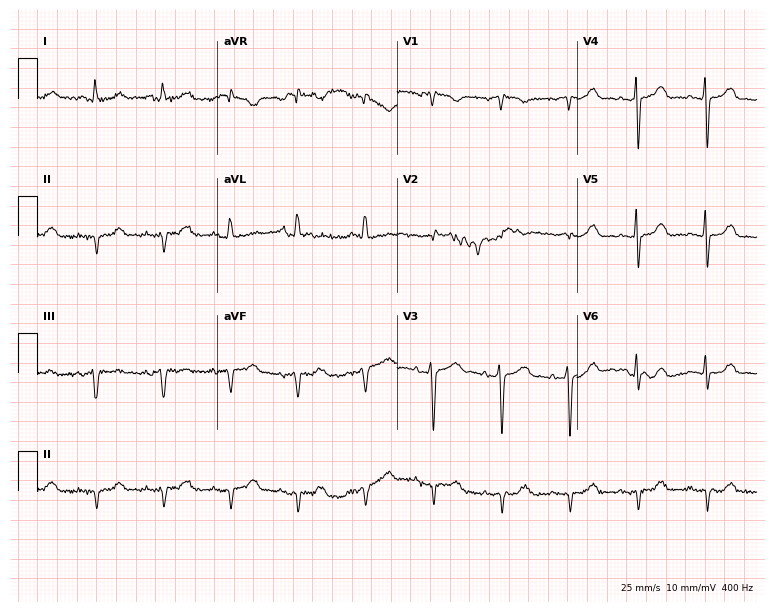
Electrocardiogram (7.3-second recording at 400 Hz), a woman, 65 years old. Of the six screened findings (first-degree AV block, right bundle branch block, left bundle branch block, sinus bradycardia, atrial fibrillation, sinus tachycardia), none is recorded.